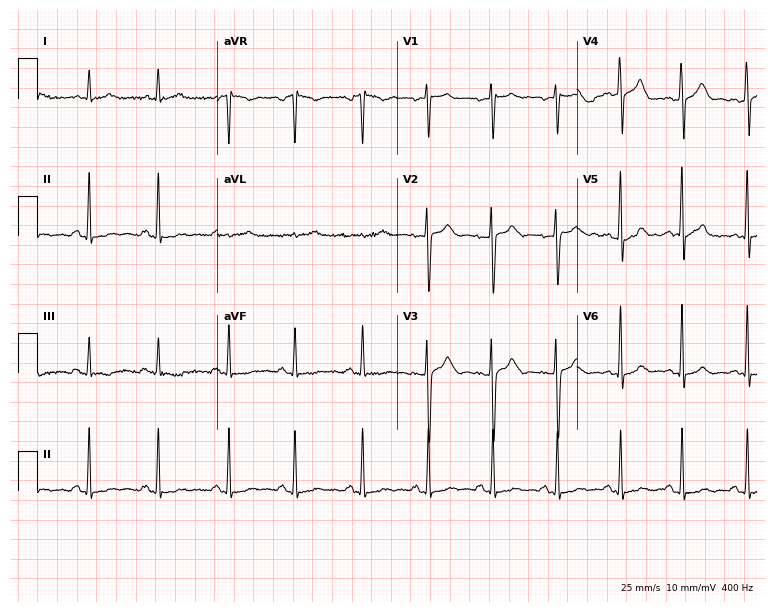
12-lead ECG from a female patient, 28 years old. No first-degree AV block, right bundle branch block, left bundle branch block, sinus bradycardia, atrial fibrillation or sinus tachycardia recorded for this tracing.